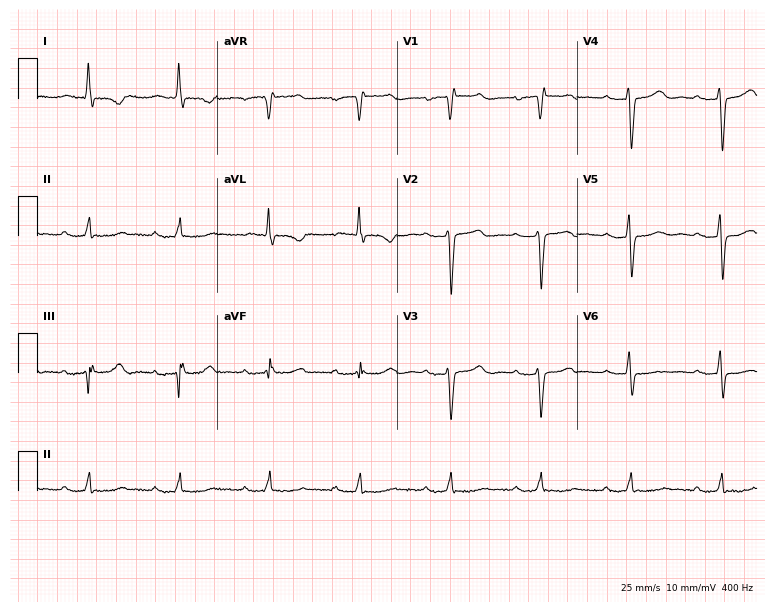
ECG — a female, 82 years old. Screened for six findings — first-degree AV block, right bundle branch block (RBBB), left bundle branch block (LBBB), sinus bradycardia, atrial fibrillation (AF), sinus tachycardia — none is recorded.